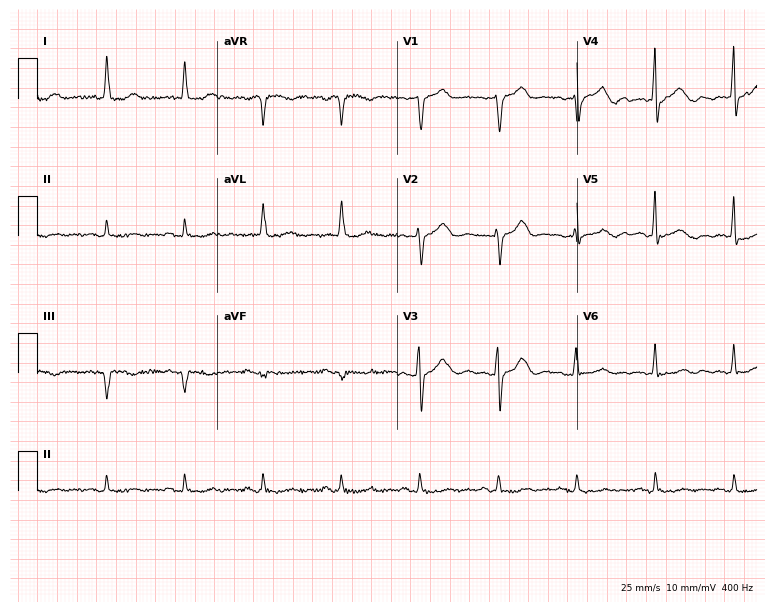
Standard 12-lead ECG recorded from a 72-year-old woman. None of these six findings is recorded: first-degree AV block, right bundle branch block, left bundle branch block, sinus bradycardia, atrial fibrillation, sinus tachycardia. Only these six findings were labelled.